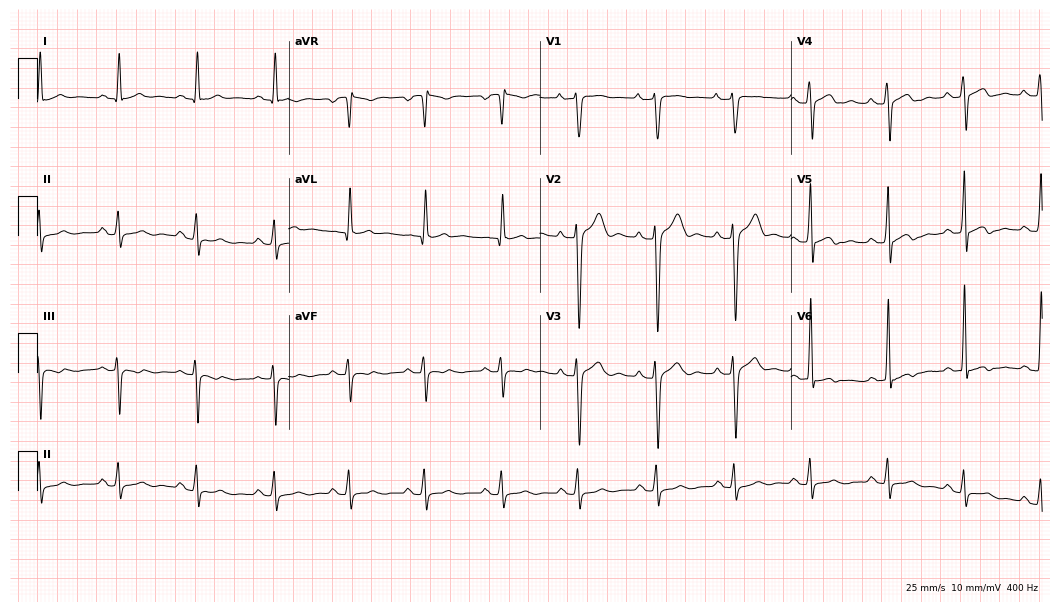
12-lead ECG from a 36-year-old male (10.2-second recording at 400 Hz). No first-degree AV block, right bundle branch block, left bundle branch block, sinus bradycardia, atrial fibrillation or sinus tachycardia recorded for this tracing.